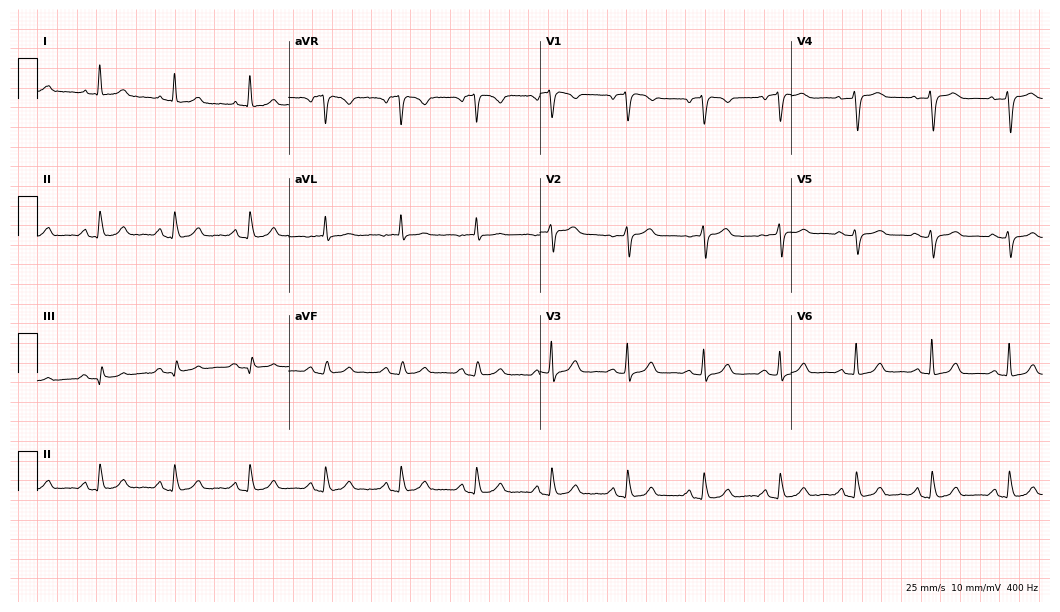
Electrocardiogram, a female, 74 years old. Overall reading on record: normal ECG.